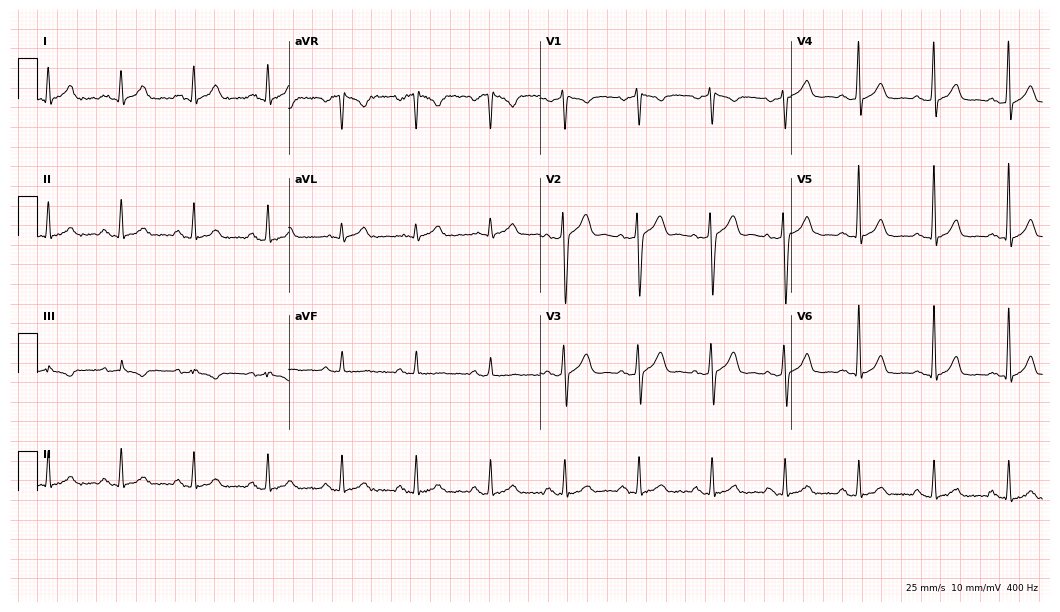
Electrocardiogram (10.2-second recording at 400 Hz), a 43-year-old male. Overall reading on record: normal ECG.